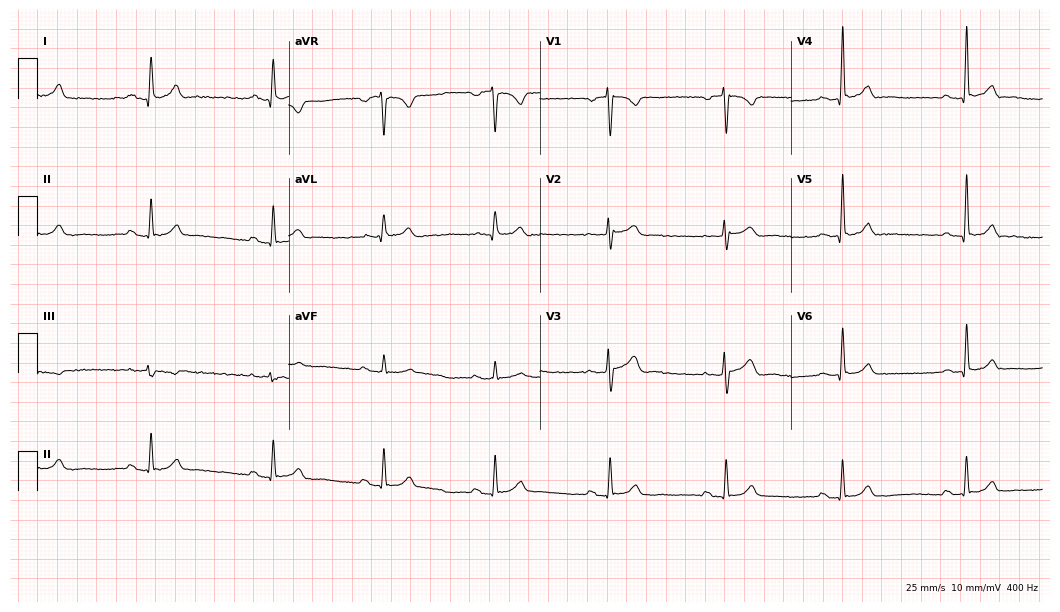
Resting 12-lead electrocardiogram. Patient: a 36-year-old man. Read as a normal ECG.